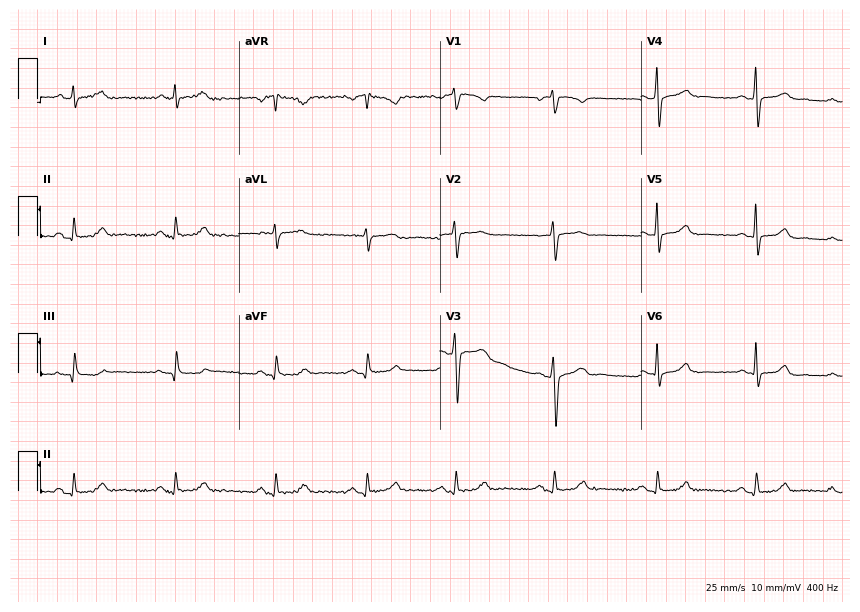
Resting 12-lead electrocardiogram (8.2-second recording at 400 Hz). Patient: a woman, 37 years old. Read as a normal ECG.